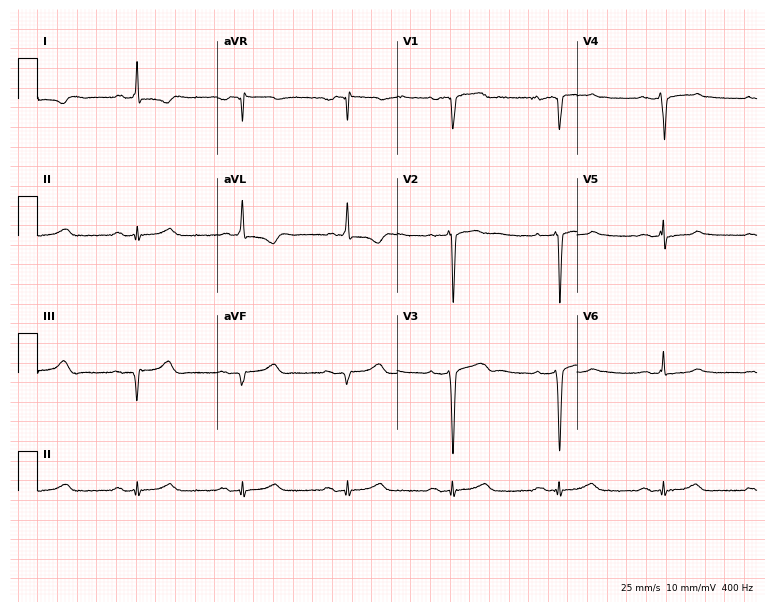
Standard 12-lead ECG recorded from a male patient, 65 years old. None of these six findings is recorded: first-degree AV block, right bundle branch block (RBBB), left bundle branch block (LBBB), sinus bradycardia, atrial fibrillation (AF), sinus tachycardia.